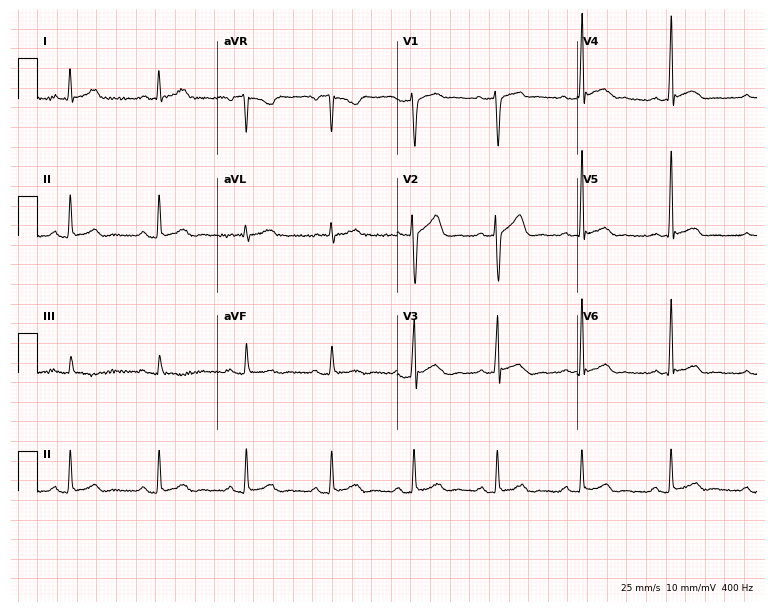
ECG (7.3-second recording at 400 Hz) — a male patient, 39 years old. Screened for six findings — first-degree AV block, right bundle branch block (RBBB), left bundle branch block (LBBB), sinus bradycardia, atrial fibrillation (AF), sinus tachycardia — none is recorded.